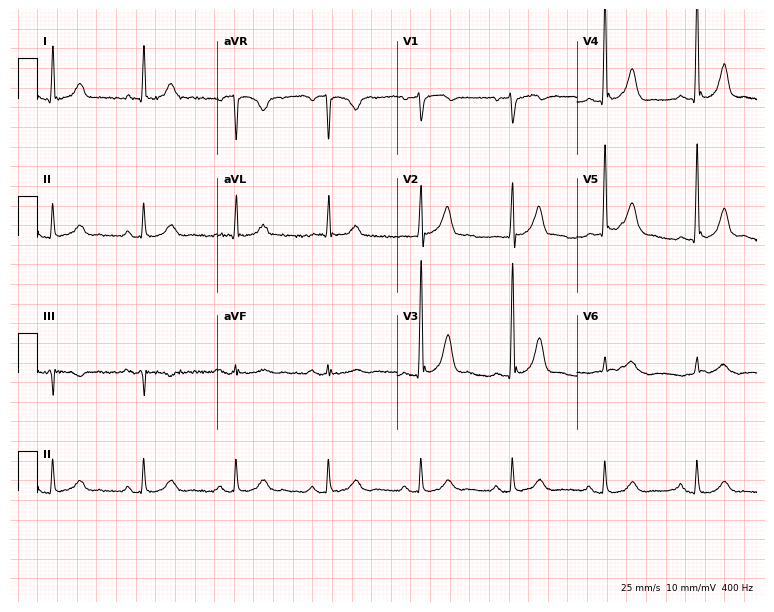
Resting 12-lead electrocardiogram. Patient: a 70-year-old man. None of these six findings is recorded: first-degree AV block, right bundle branch block (RBBB), left bundle branch block (LBBB), sinus bradycardia, atrial fibrillation (AF), sinus tachycardia.